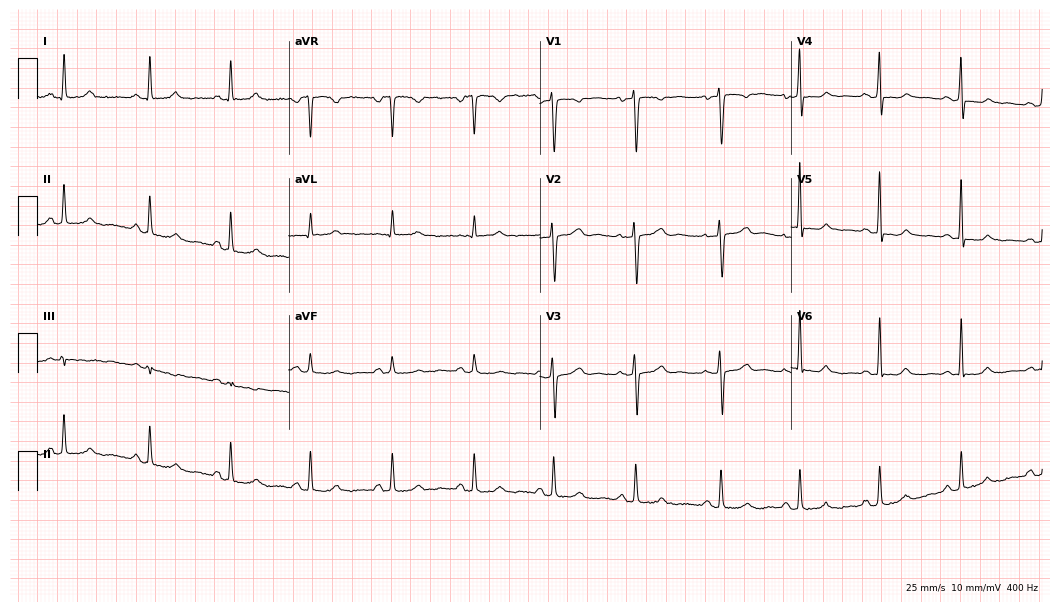
12-lead ECG from a woman, 34 years old. No first-degree AV block, right bundle branch block (RBBB), left bundle branch block (LBBB), sinus bradycardia, atrial fibrillation (AF) or sinus tachycardia recorded for this tracing.